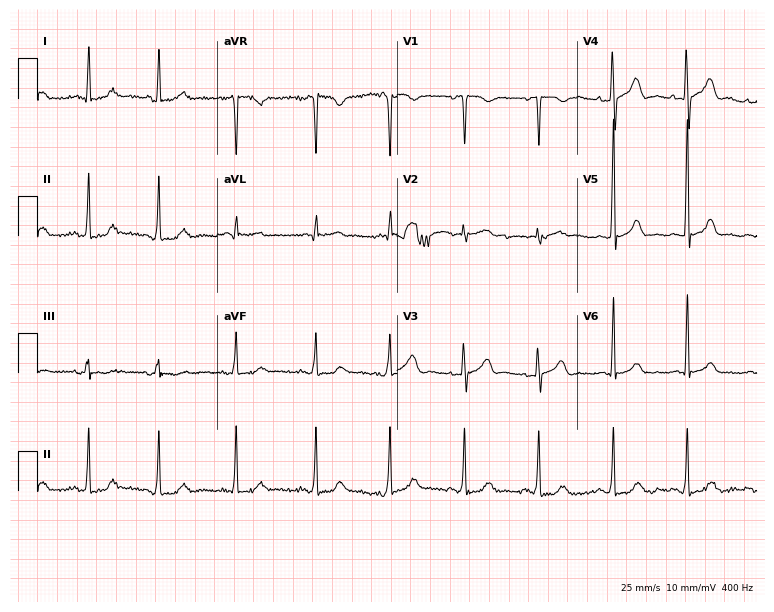
ECG (7.3-second recording at 400 Hz) — a female, 69 years old. Labelled as a normal ECG.